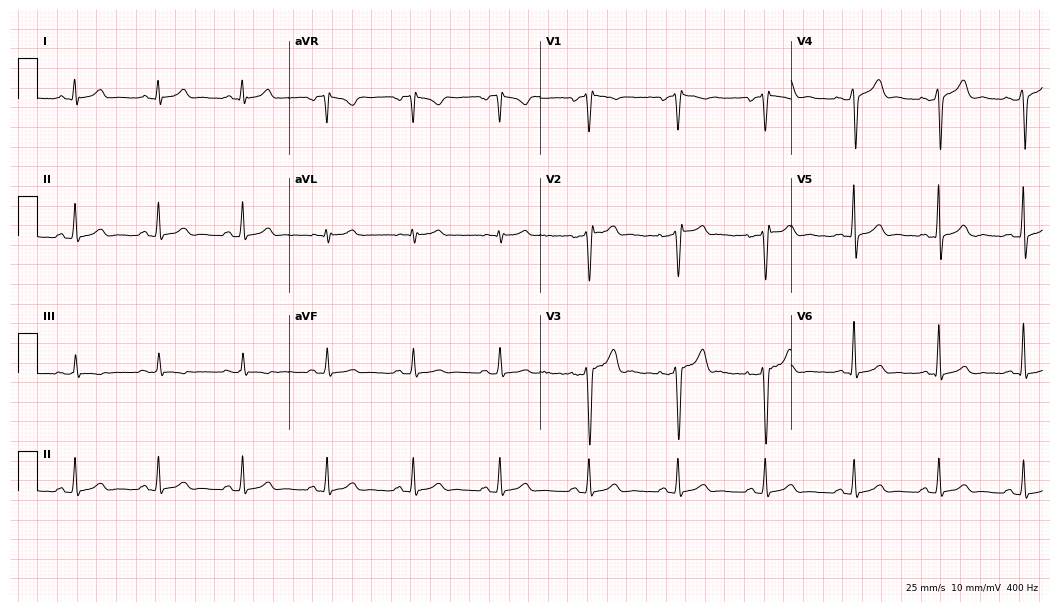
Resting 12-lead electrocardiogram (10.2-second recording at 400 Hz). Patient: a male, 28 years old. Read as a normal ECG.